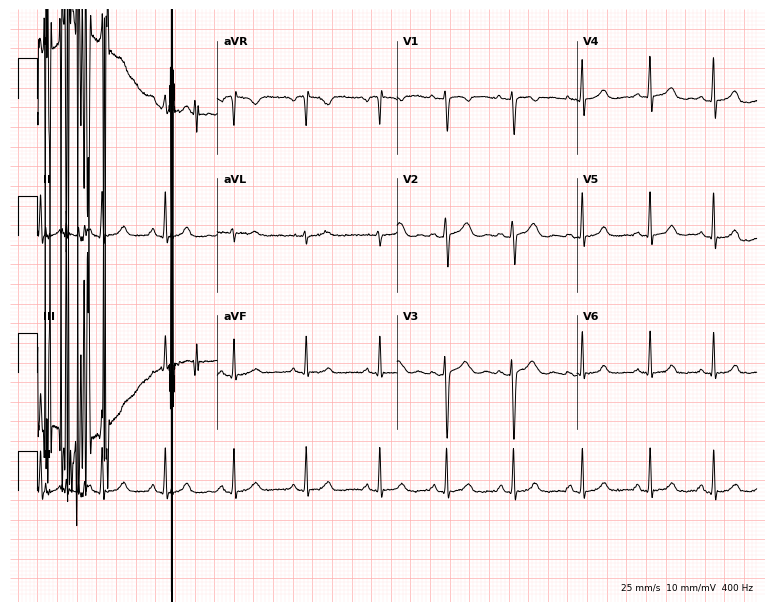
Standard 12-lead ECG recorded from a 19-year-old female. None of these six findings is recorded: first-degree AV block, right bundle branch block (RBBB), left bundle branch block (LBBB), sinus bradycardia, atrial fibrillation (AF), sinus tachycardia. Findings outside these six are not listed.